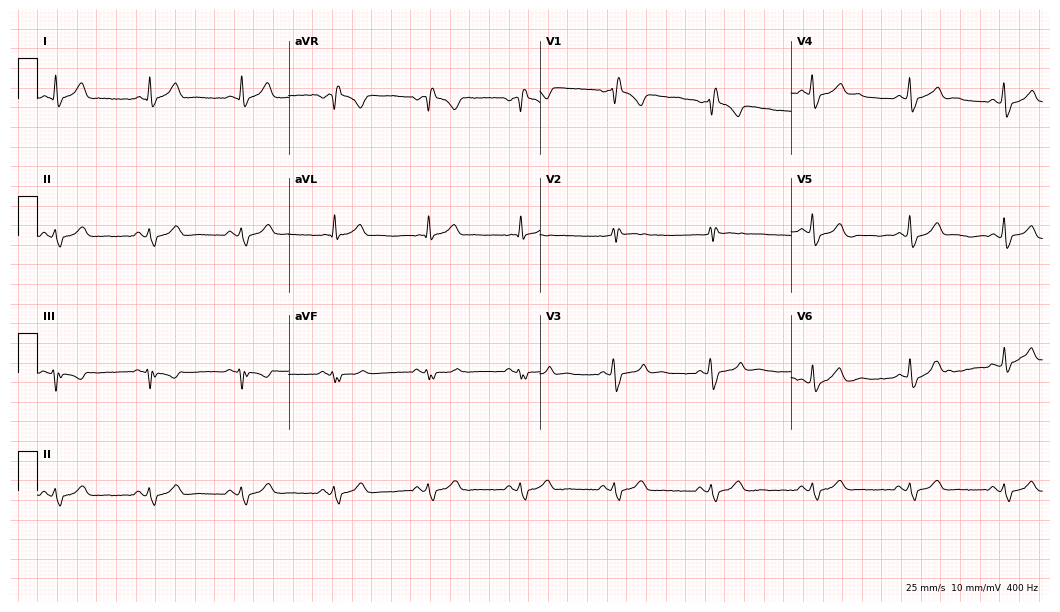
12-lead ECG from a 41-year-old male patient (10.2-second recording at 400 Hz). Shows right bundle branch block (RBBB).